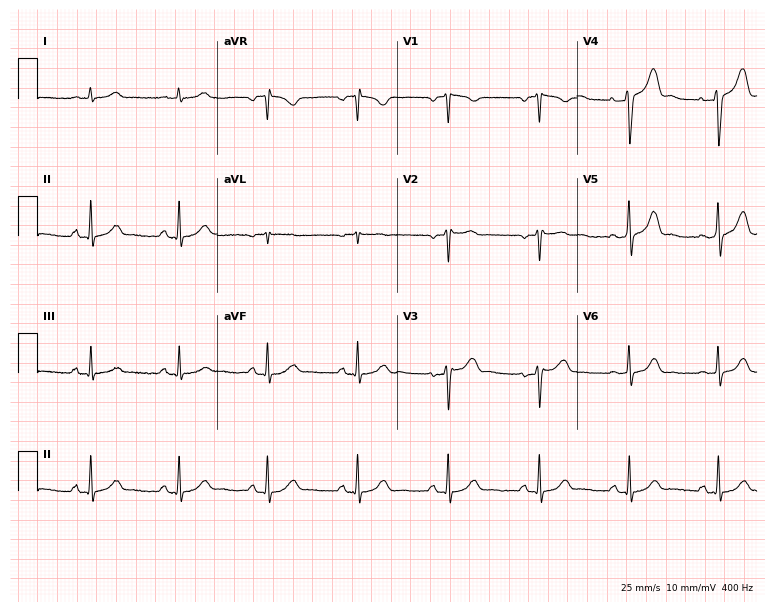
Electrocardiogram, a male, 56 years old. Overall reading on record: normal ECG.